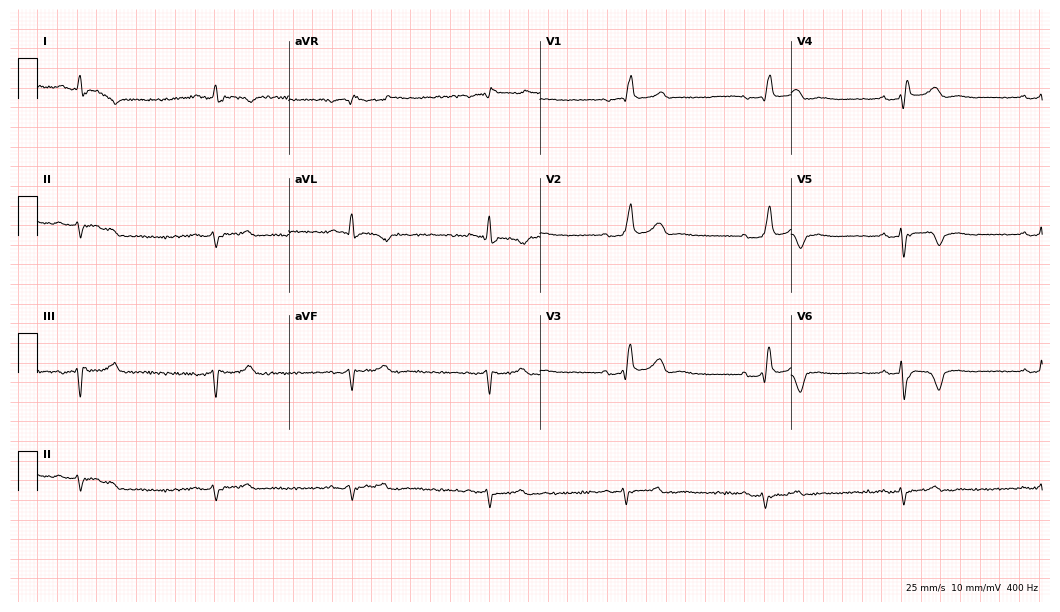
12-lead ECG from a male, 80 years old. Screened for six findings — first-degree AV block, right bundle branch block (RBBB), left bundle branch block (LBBB), sinus bradycardia, atrial fibrillation (AF), sinus tachycardia — none is recorded.